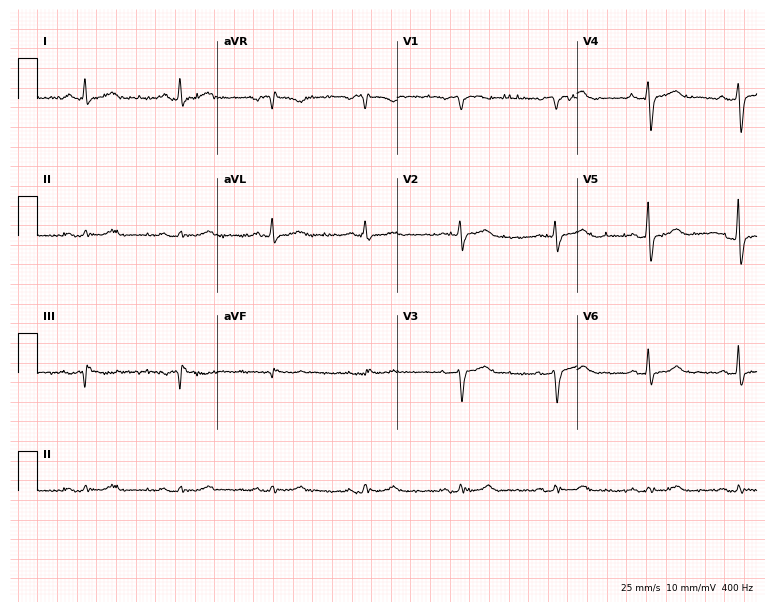
Electrocardiogram (7.3-second recording at 400 Hz), a 69-year-old male. Overall reading on record: normal ECG.